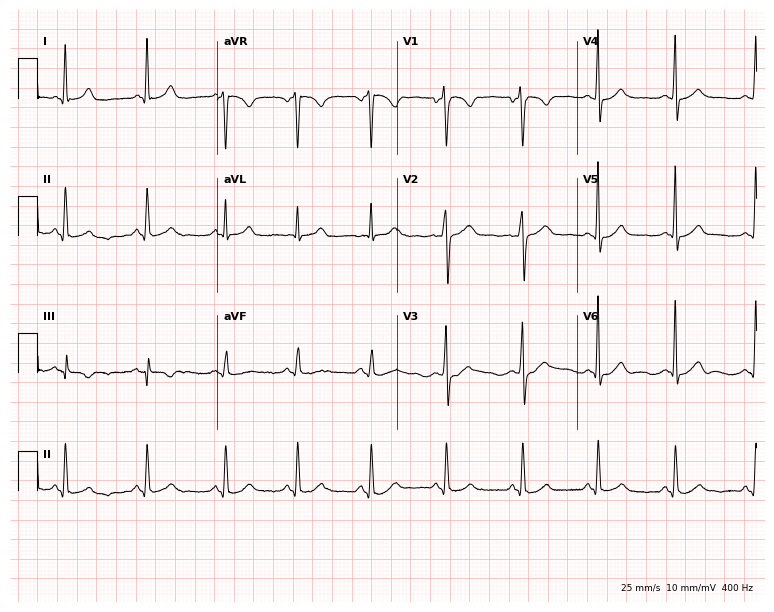
Standard 12-lead ECG recorded from a 29-year-old woman (7.3-second recording at 400 Hz). None of these six findings is recorded: first-degree AV block, right bundle branch block, left bundle branch block, sinus bradycardia, atrial fibrillation, sinus tachycardia. Other findings, if any, are not listed.